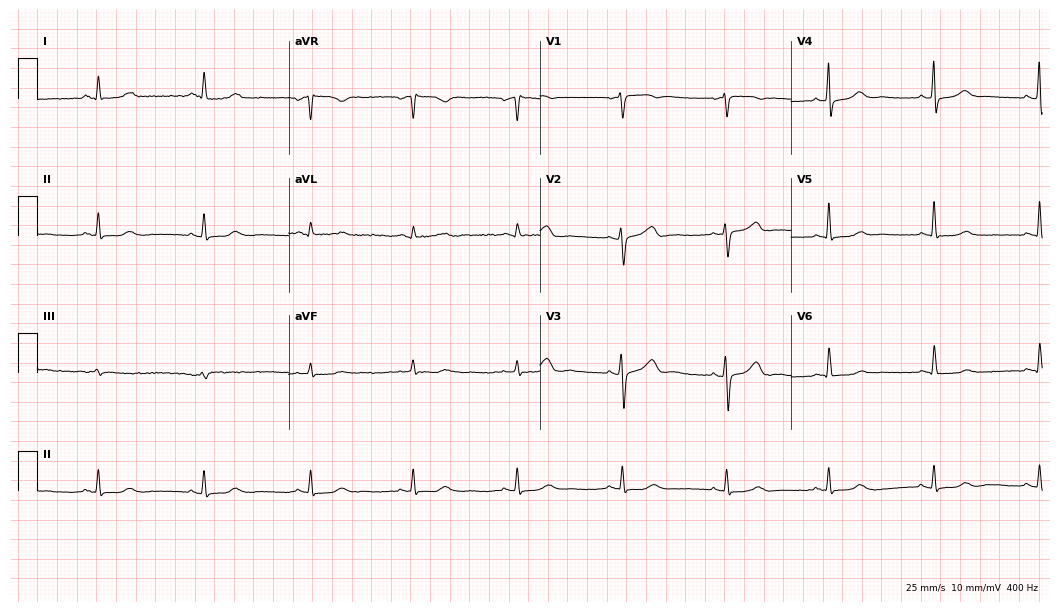
Resting 12-lead electrocardiogram. Patient: a female, 55 years old. Read as a normal ECG.